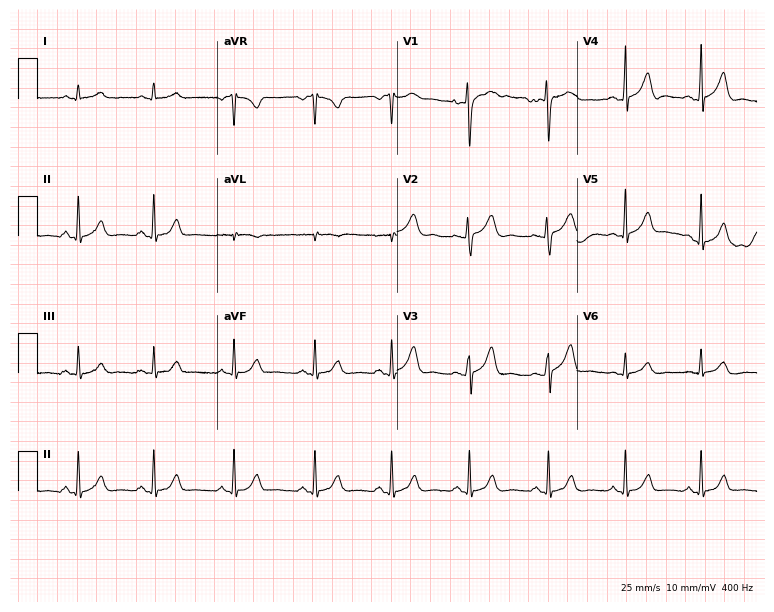
12-lead ECG from a female, 32 years old (7.3-second recording at 400 Hz). Recorded interpretation: within normal limits.